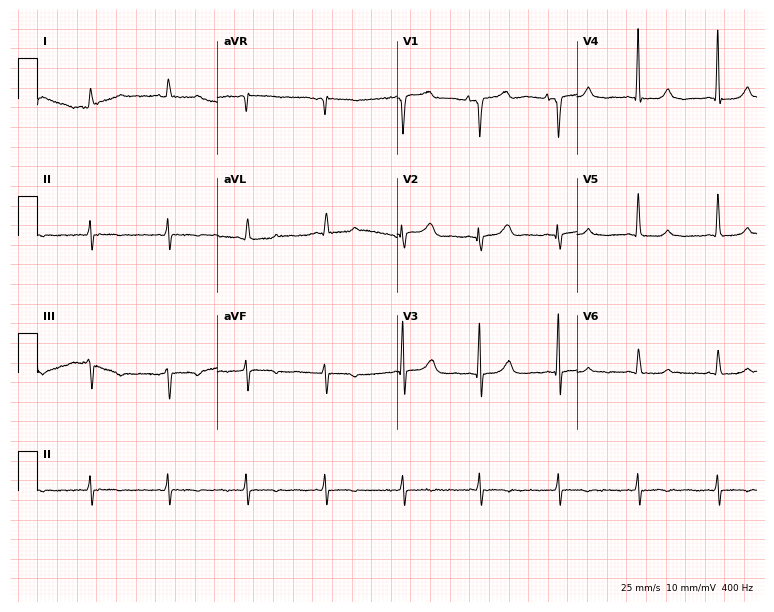
Electrocardiogram (7.3-second recording at 400 Hz), a 52-year-old female patient. Of the six screened findings (first-degree AV block, right bundle branch block, left bundle branch block, sinus bradycardia, atrial fibrillation, sinus tachycardia), none is recorded.